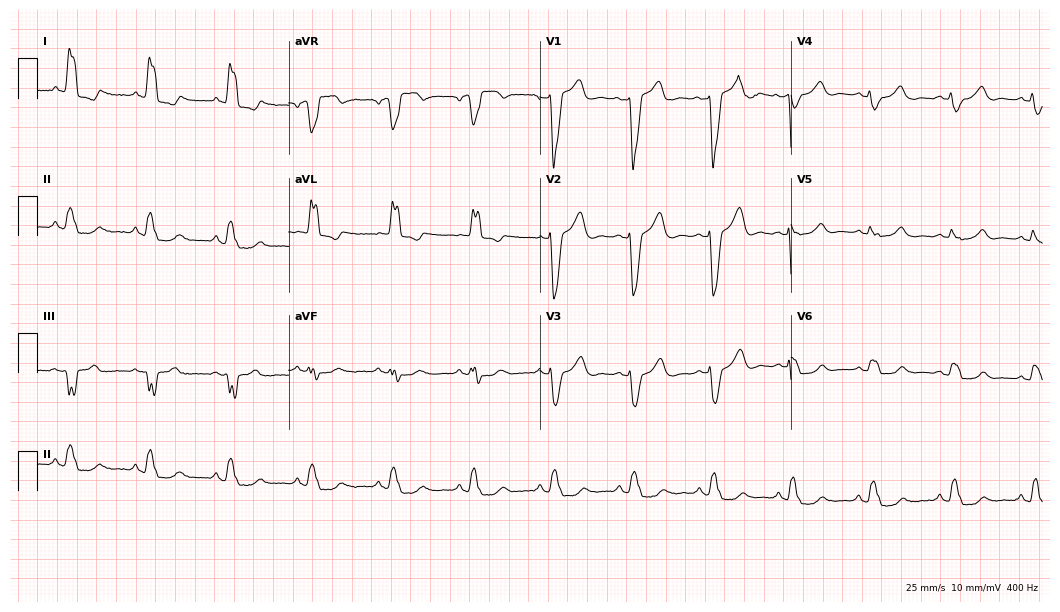
Standard 12-lead ECG recorded from a 52-year-old woman (10.2-second recording at 400 Hz). The tracing shows left bundle branch block.